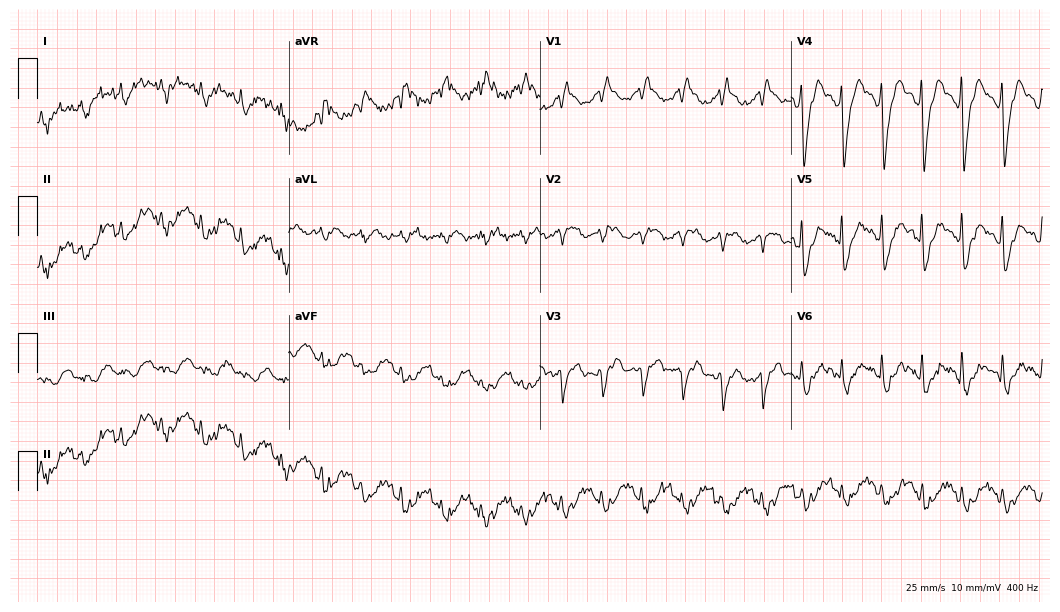
Resting 12-lead electrocardiogram. Patient: a woman, 60 years old. The tracing shows right bundle branch block (RBBB), sinus tachycardia (a sinus rate of 100 beats per minute or more).